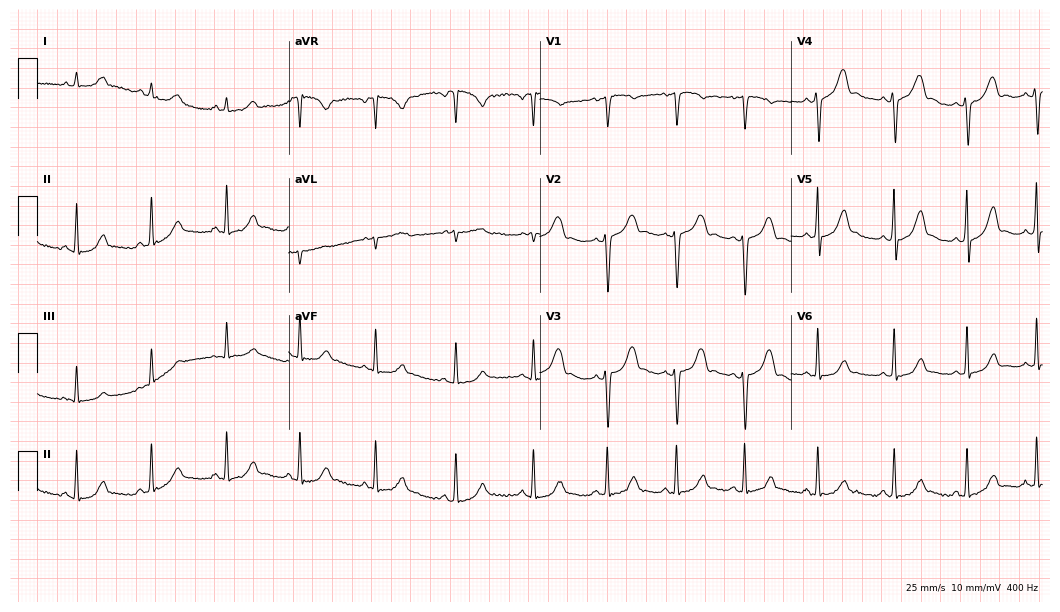
Standard 12-lead ECG recorded from a female, 17 years old (10.2-second recording at 400 Hz). Read as a normal ECG.